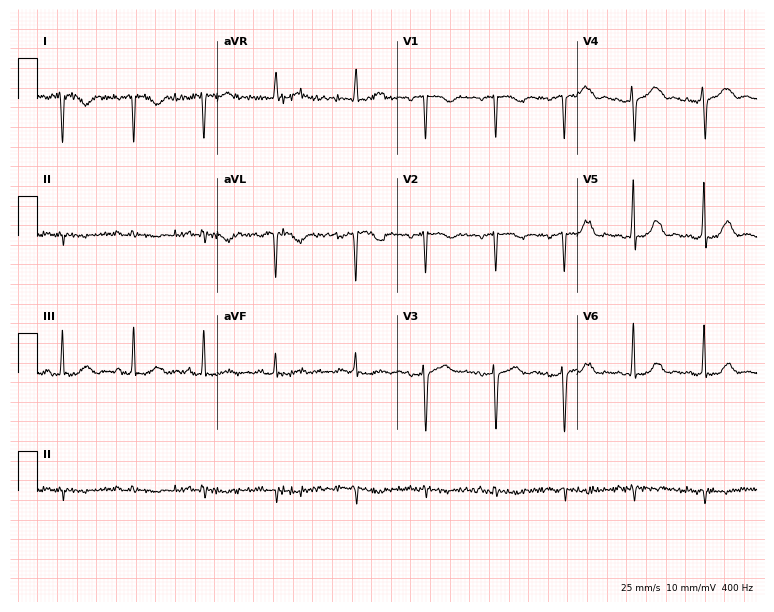
ECG (7.3-second recording at 400 Hz) — a female patient, 45 years old. Screened for six findings — first-degree AV block, right bundle branch block, left bundle branch block, sinus bradycardia, atrial fibrillation, sinus tachycardia — none is recorded. Other findings, if any, are not listed.